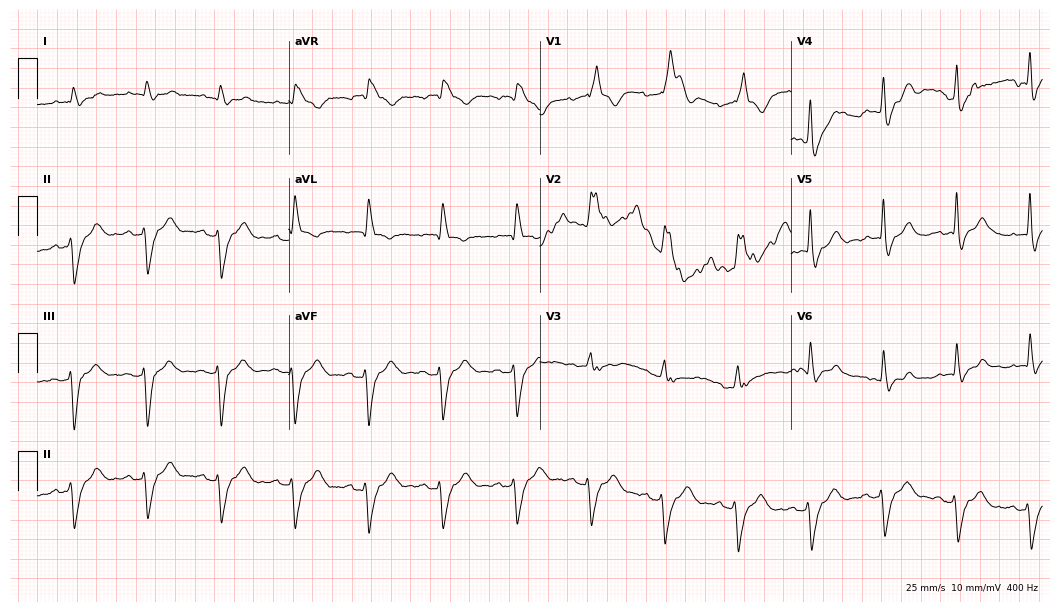
12-lead ECG (10.2-second recording at 400 Hz) from a 76-year-old female patient. Findings include right bundle branch block (RBBB).